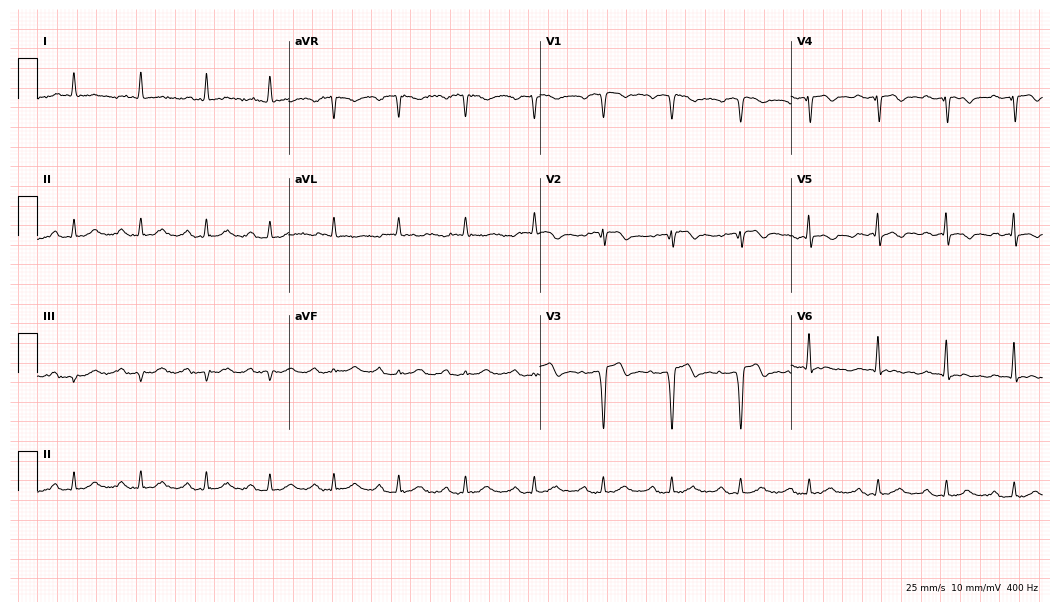
12-lead ECG (10.2-second recording at 400 Hz) from a male, 85 years old. Screened for six findings — first-degree AV block, right bundle branch block, left bundle branch block, sinus bradycardia, atrial fibrillation, sinus tachycardia — none is recorded. Other findings, if any, are not listed.